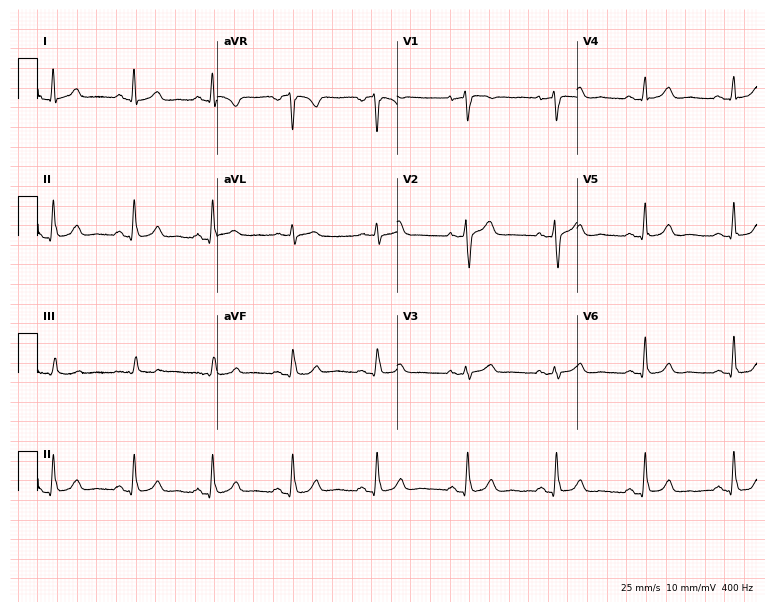
12-lead ECG (7.3-second recording at 400 Hz) from a female, 54 years old. Labelled as a normal ECG.